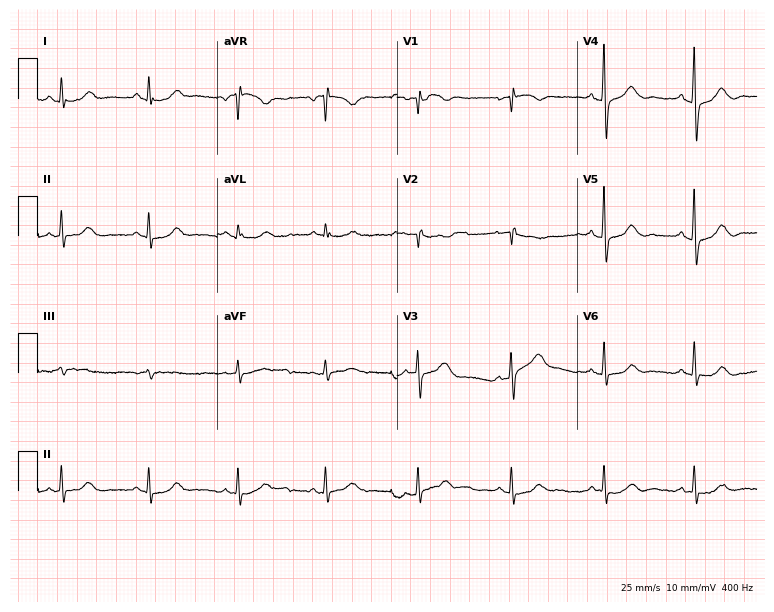
ECG — a 64-year-old female patient. Labelled as a normal ECG.